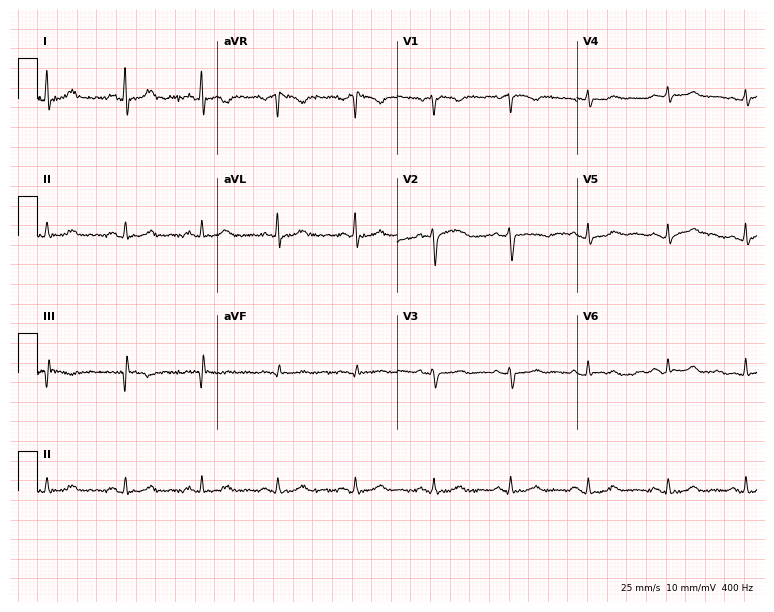
Standard 12-lead ECG recorded from a female patient, 55 years old (7.3-second recording at 400 Hz). Read as a normal ECG.